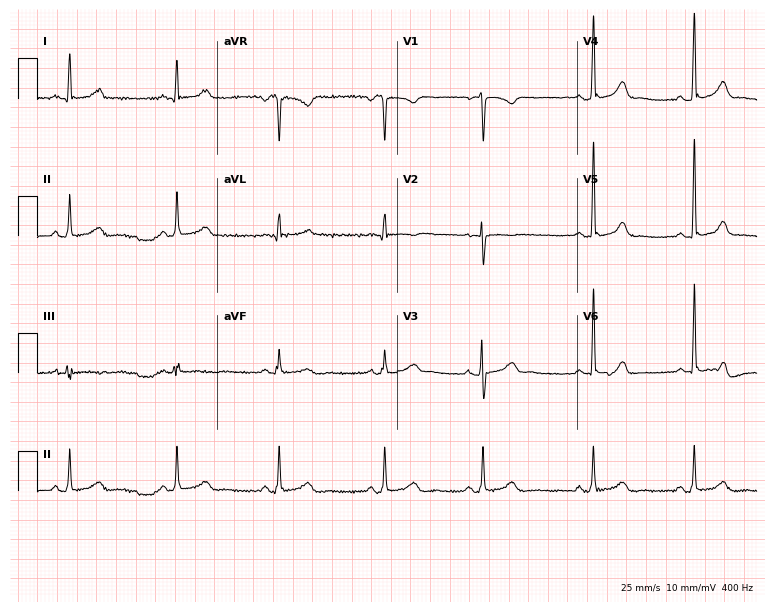
Standard 12-lead ECG recorded from a woman, 42 years old (7.3-second recording at 400 Hz). Read as a normal ECG.